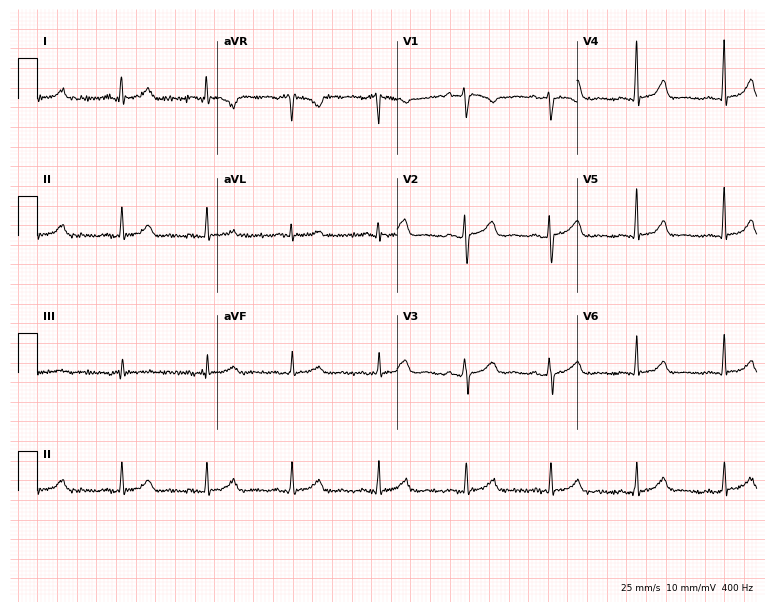
12-lead ECG (7.3-second recording at 400 Hz) from a 61-year-old female patient. Labelled as a normal ECG.